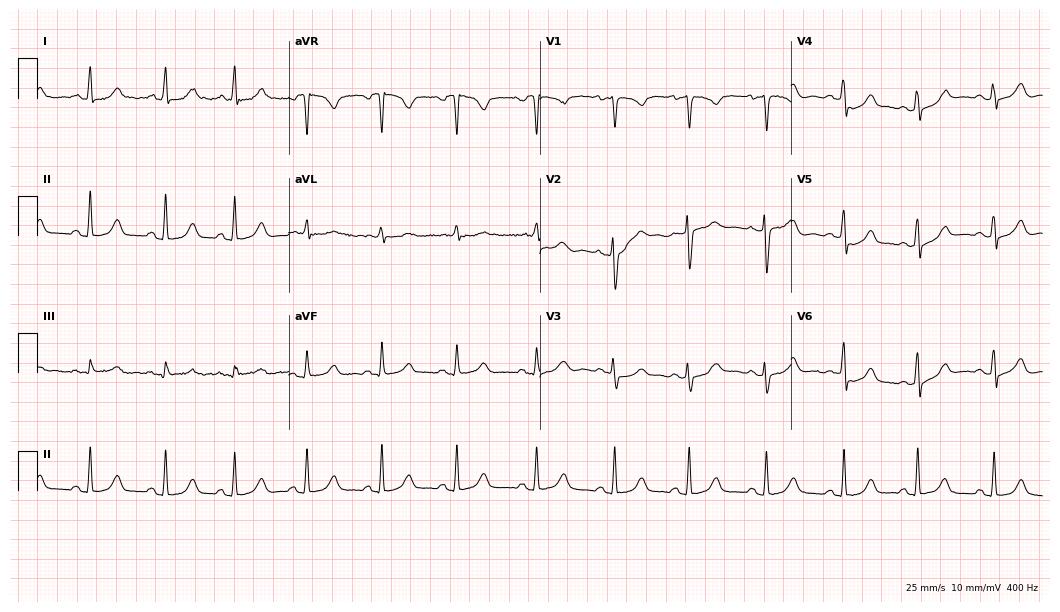
12-lead ECG from a 42-year-old woman. Recorded interpretation: within normal limits.